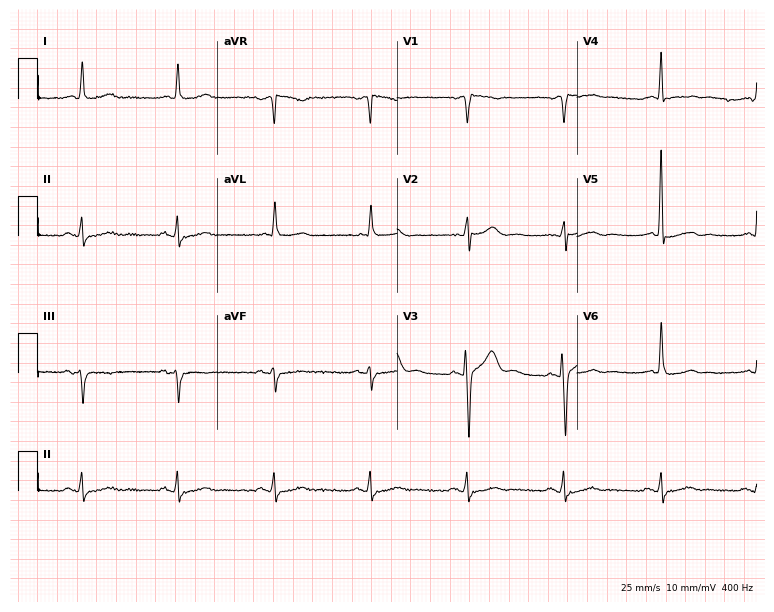
12-lead ECG from a male patient, 85 years old (7.3-second recording at 400 Hz). No first-degree AV block, right bundle branch block (RBBB), left bundle branch block (LBBB), sinus bradycardia, atrial fibrillation (AF) or sinus tachycardia recorded for this tracing.